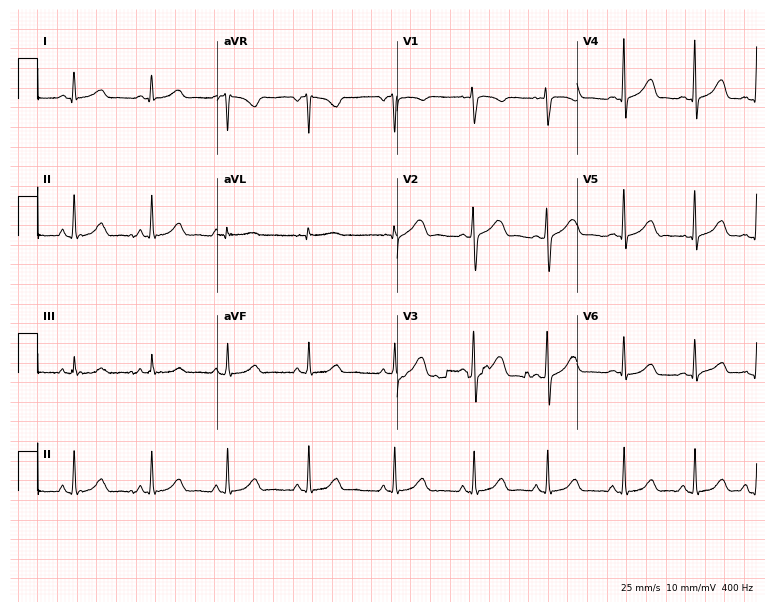
Electrocardiogram (7.3-second recording at 400 Hz), a female patient, 18 years old. Overall reading on record: normal ECG.